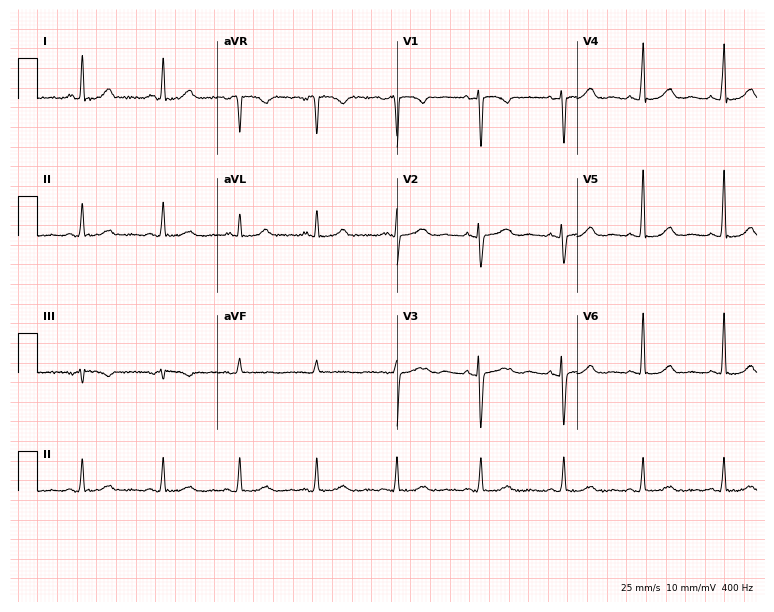
Electrocardiogram, a 41-year-old female. Of the six screened findings (first-degree AV block, right bundle branch block, left bundle branch block, sinus bradycardia, atrial fibrillation, sinus tachycardia), none is recorded.